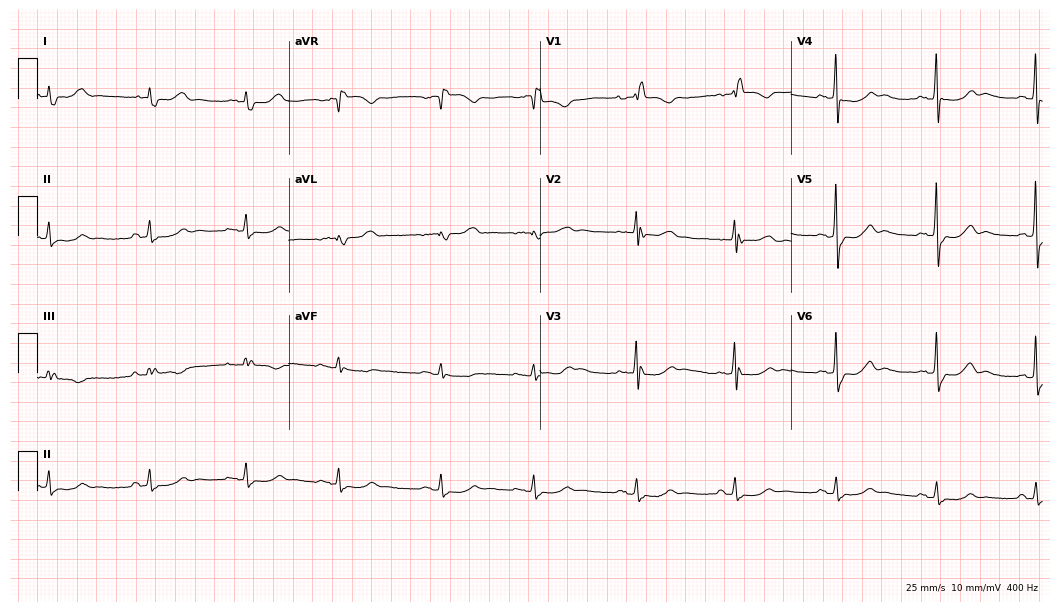
Standard 12-lead ECG recorded from a female, 84 years old. None of these six findings is recorded: first-degree AV block, right bundle branch block (RBBB), left bundle branch block (LBBB), sinus bradycardia, atrial fibrillation (AF), sinus tachycardia. Other findings, if any, are not listed.